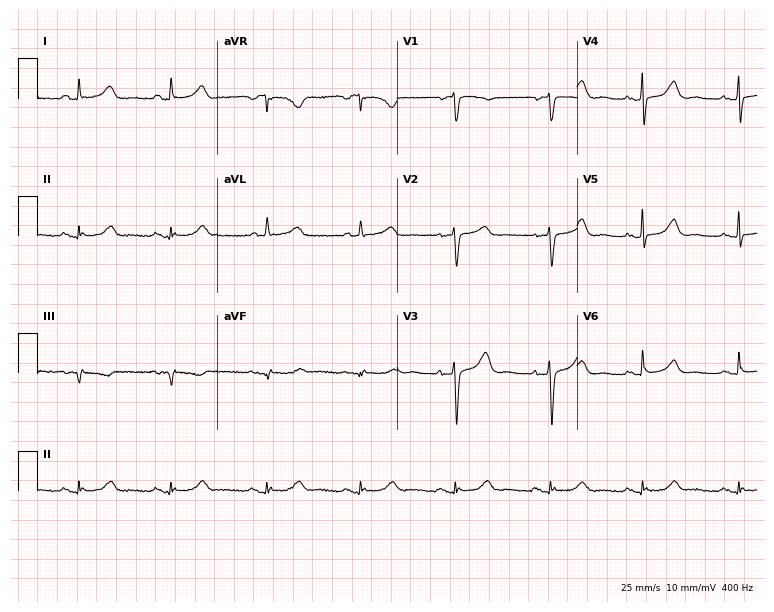
Resting 12-lead electrocardiogram. Patient: a 77-year-old woman. Read as a normal ECG.